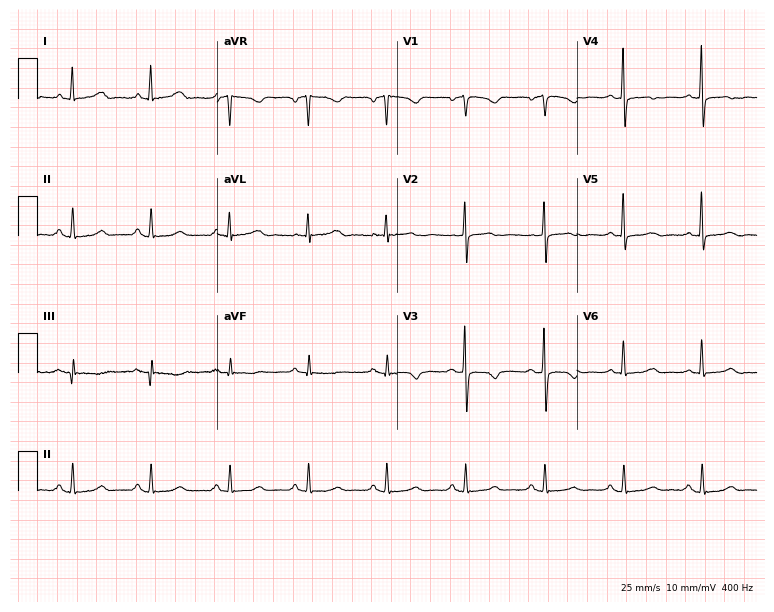
Resting 12-lead electrocardiogram (7.3-second recording at 400 Hz). Patient: a 57-year-old woman. None of these six findings is recorded: first-degree AV block, right bundle branch block, left bundle branch block, sinus bradycardia, atrial fibrillation, sinus tachycardia.